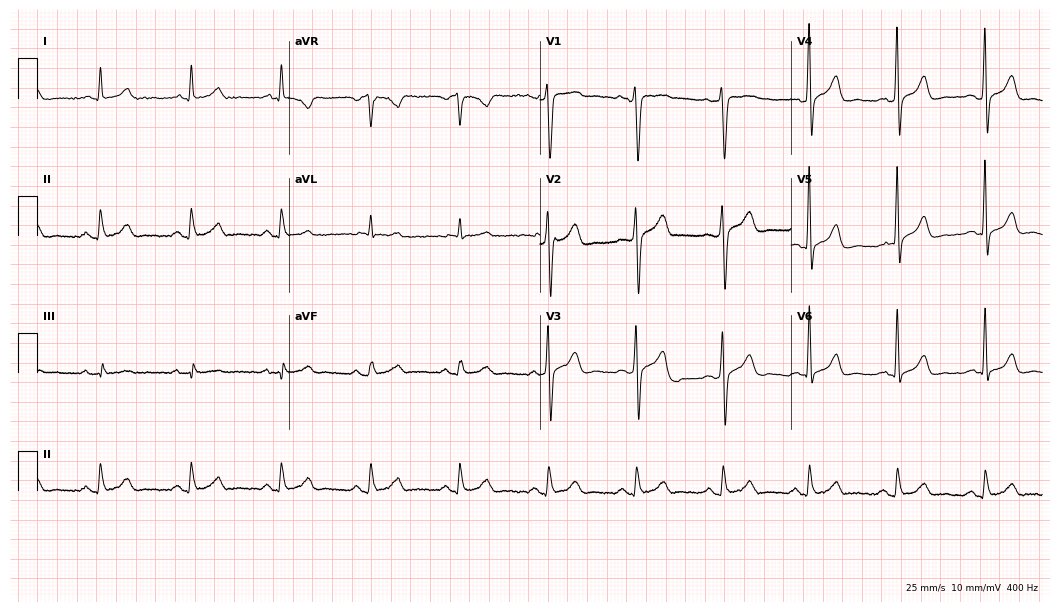
12-lead ECG from a 56-year-old male (10.2-second recording at 400 Hz). Recorded interpretation: within normal limits.